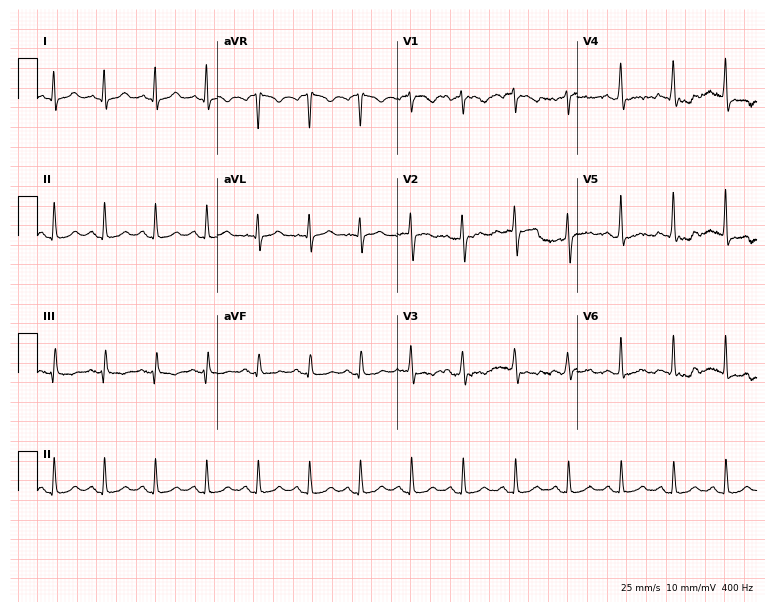
Resting 12-lead electrocardiogram. Patient: a female, 27 years old. The tracing shows sinus tachycardia (a sinus rate of 100 beats per minute or more).